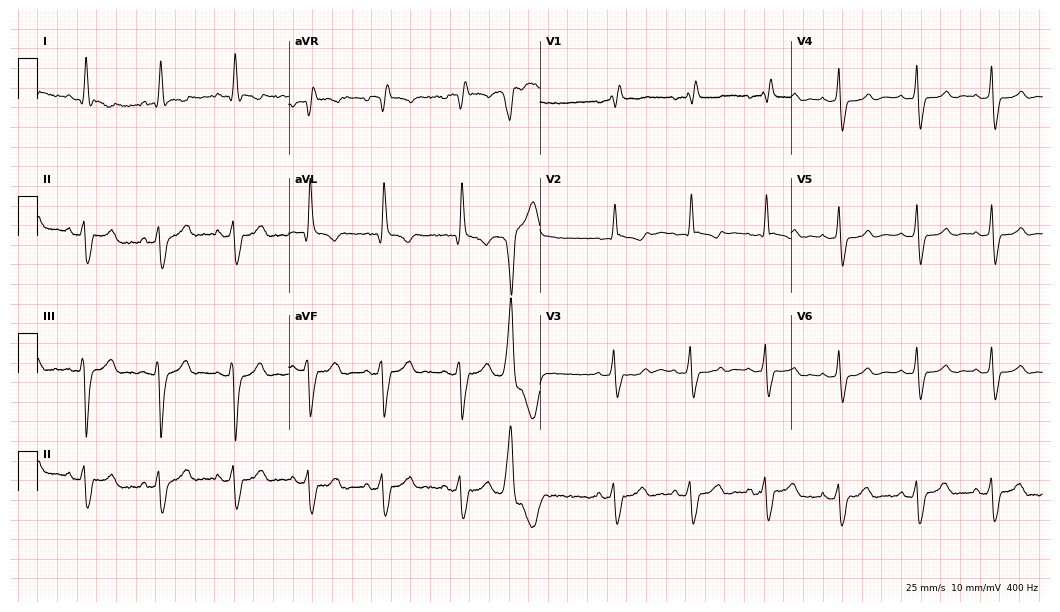
Electrocardiogram (10.2-second recording at 400 Hz), a 63-year-old female. Interpretation includes right bundle branch block (RBBB).